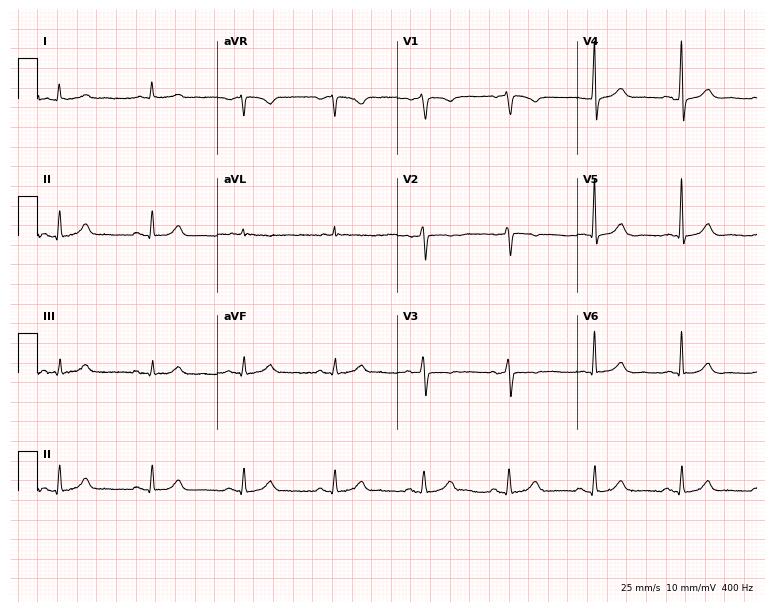
Electrocardiogram, a 68-year-old male. Overall reading on record: normal ECG.